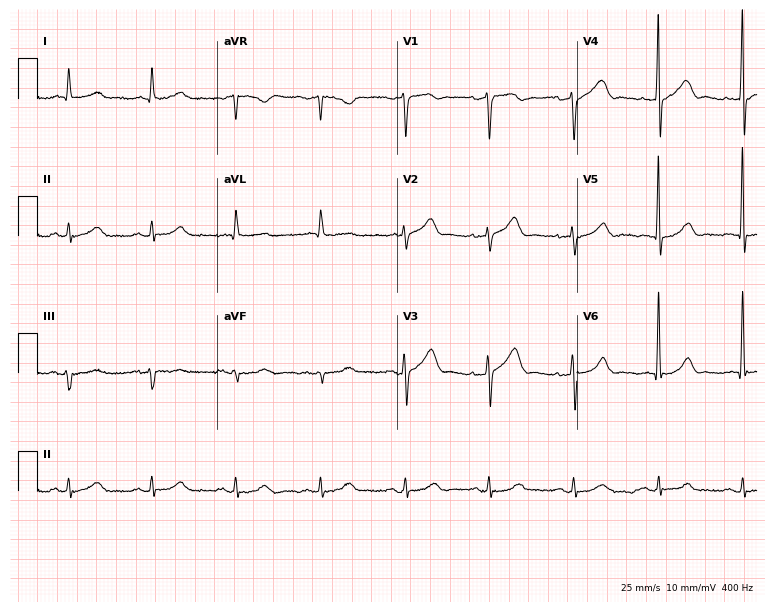
Resting 12-lead electrocardiogram (7.3-second recording at 400 Hz). Patient: a 68-year-old male. Read as a normal ECG.